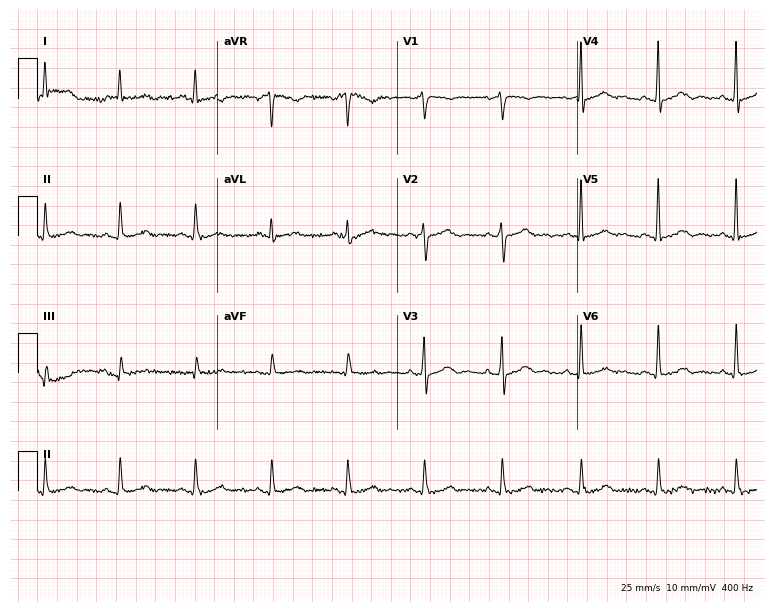
Electrocardiogram, a male, 46 years old. Overall reading on record: normal ECG.